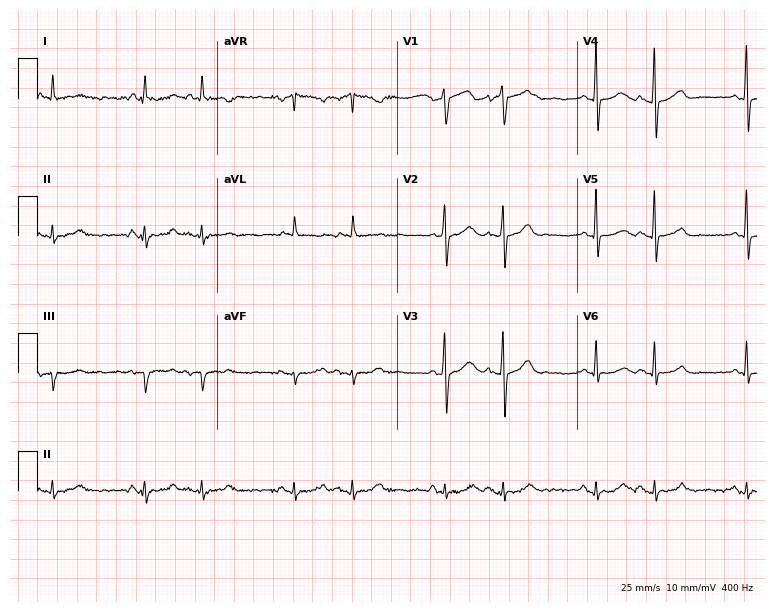
Resting 12-lead electrocardiogram. Patient: a male, 83 years old. None of these six findings is recorded: first-degree AV block, right bundle branch block, left bundle branch block, sinus bradycardia, atrial fibrillation, sinus tachycardia.